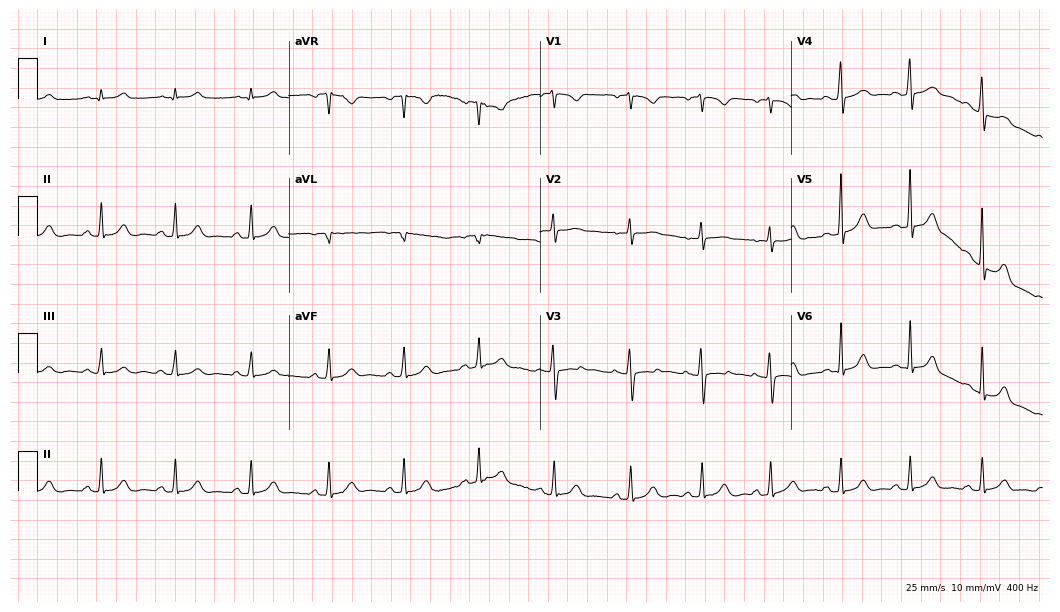
ECG — a 19-year-old woman. Labelled as a normal ECG.